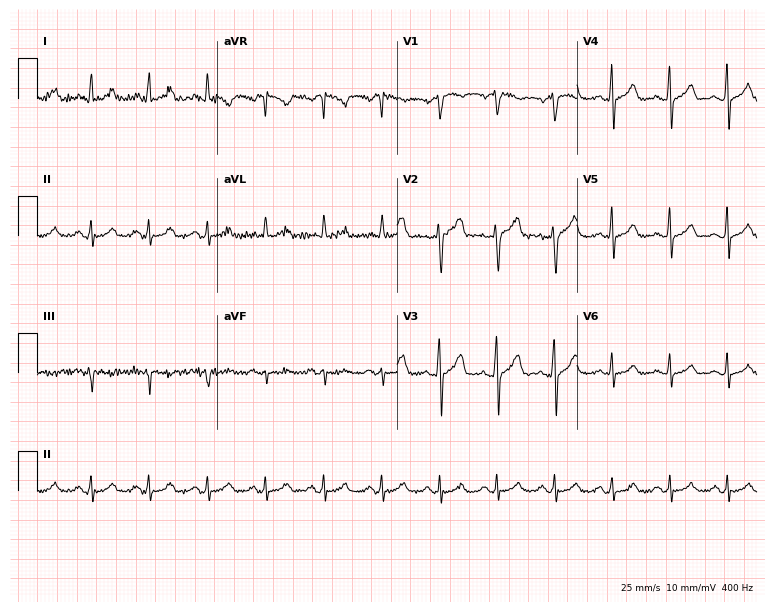
Electrocardiogram (7.3-second recording at 400 Hz), a man, 41 years old. Interpretation includes sinus tachycardia (a sinus rate of 100 beats per minute or more).